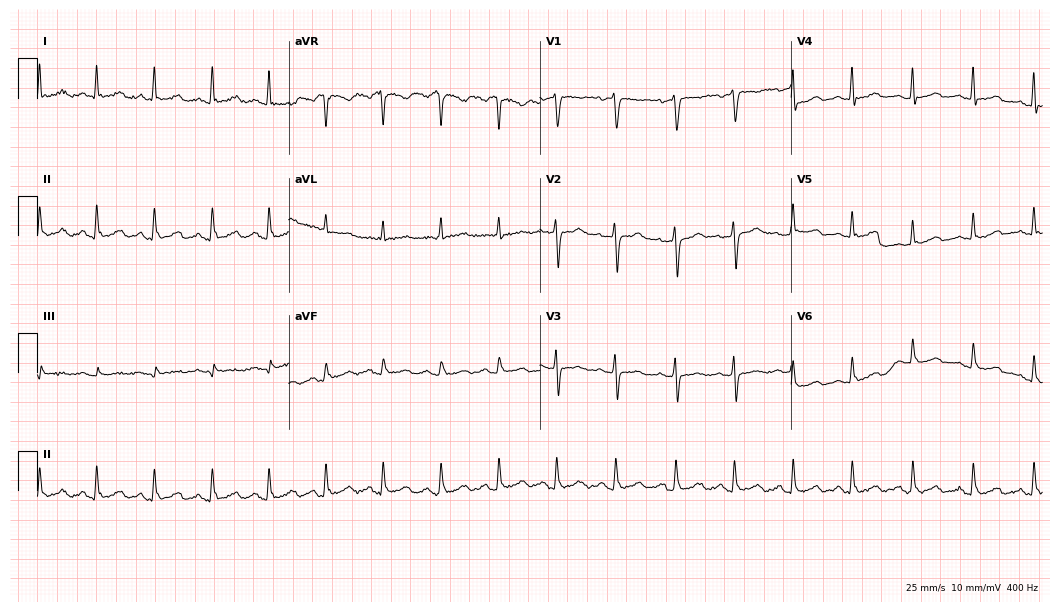
12-lead ECG (10.2-second recording at 400 Hz) from a 42-year-old female. Findings include sinus tachycardia (a sinus rate of 100 beats per minute or more).